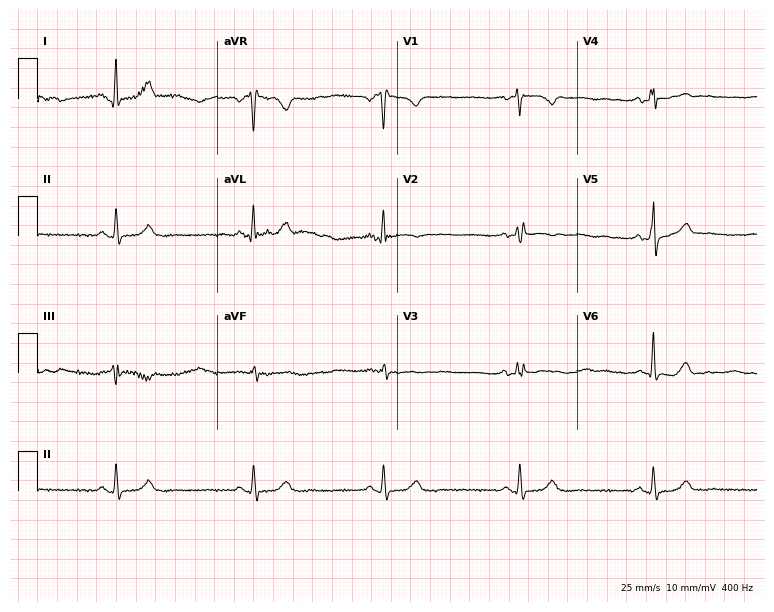
12-lead ECG (7.3-second recording at 400 Hz) from a woman, 59 years old. Screened for six findings — first-degree AV block, right bundle branch block (RBBB), left bundle branch block (LBBB), sinus bradycardia, atrial fibrillation (AF), sinus tachycardia — none is recorded. Findings outside these six are not listed.